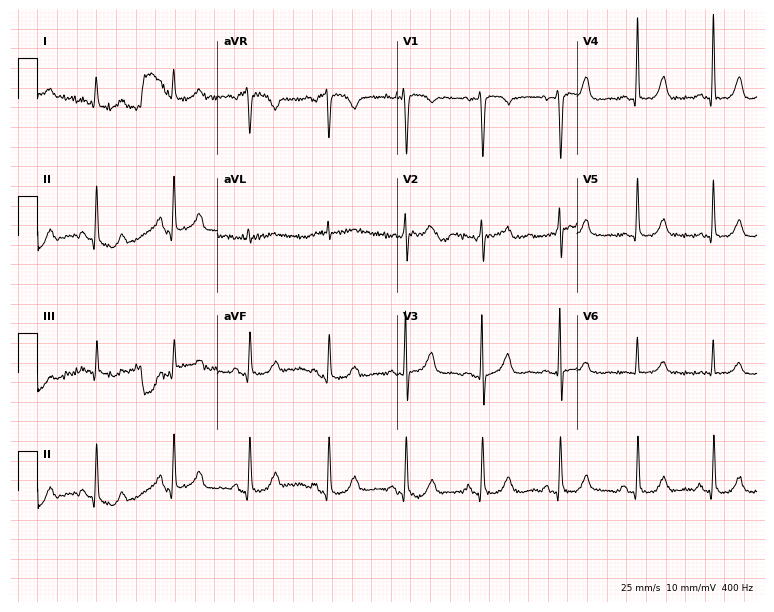
Resting 12-lead electrocardiogram (7.3-second recording at 400 Hz). Patient: a 67-year-old female. None of these six findings is recorded: first-degree AV block, right bundle branch block, left bundle branch block, sinus bradycardia, atrial fibrillation, sinus tachycardia. Only these six findings were labelled.